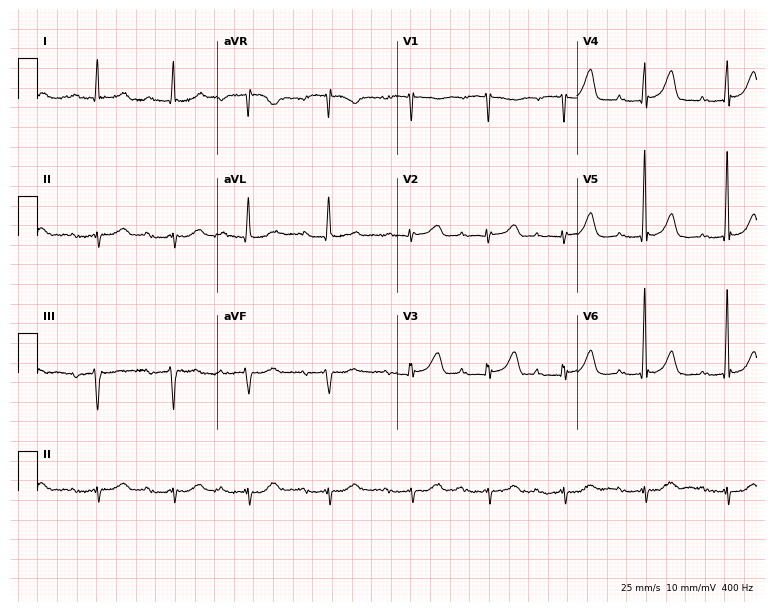
ECG (7.3-second recording at 400 Hz) — a woman, 75 years old. Screened for six findings — first-degree AV block, right bundle branch block (RBBB), left bundle branch block (LBBB), sinus bradycardia, atrial fibrillation (AF), sinus tachycardia — none is recorded. Findings outside these six are not listed.